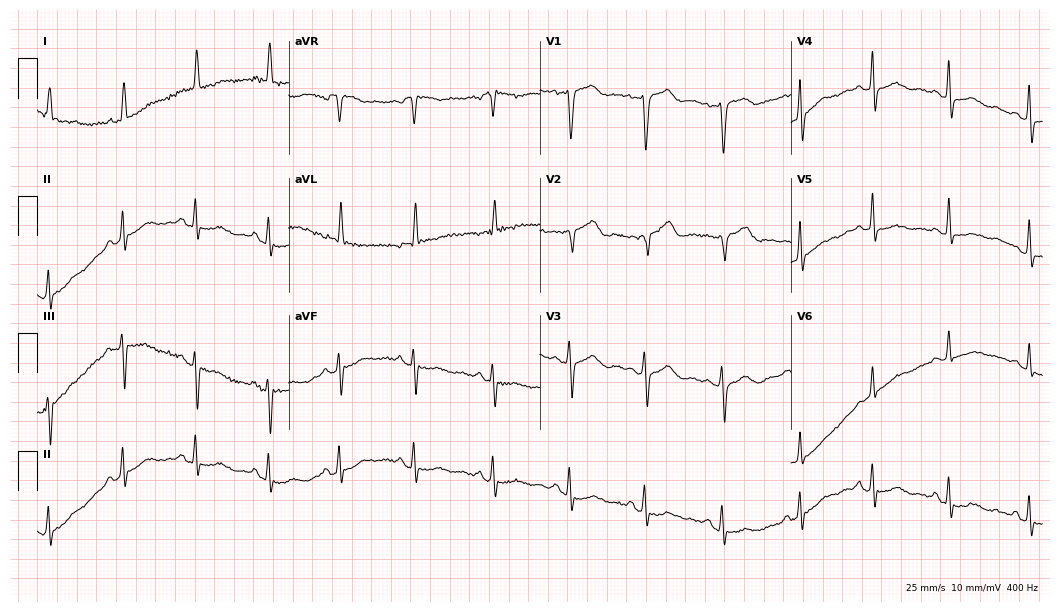
Resting 12-lead electrocardiogram (10.2-second recording at 400 Hz). Patient: a woman, 72 years old. None of these six findings is recorded: first-degree AV block, right bundle branch block (RBBB), left bundle branch block (LBBB), sinus bradycardia, atrial fibrillation (AF), sinus tachycardia. Findings outside these six are not listed.